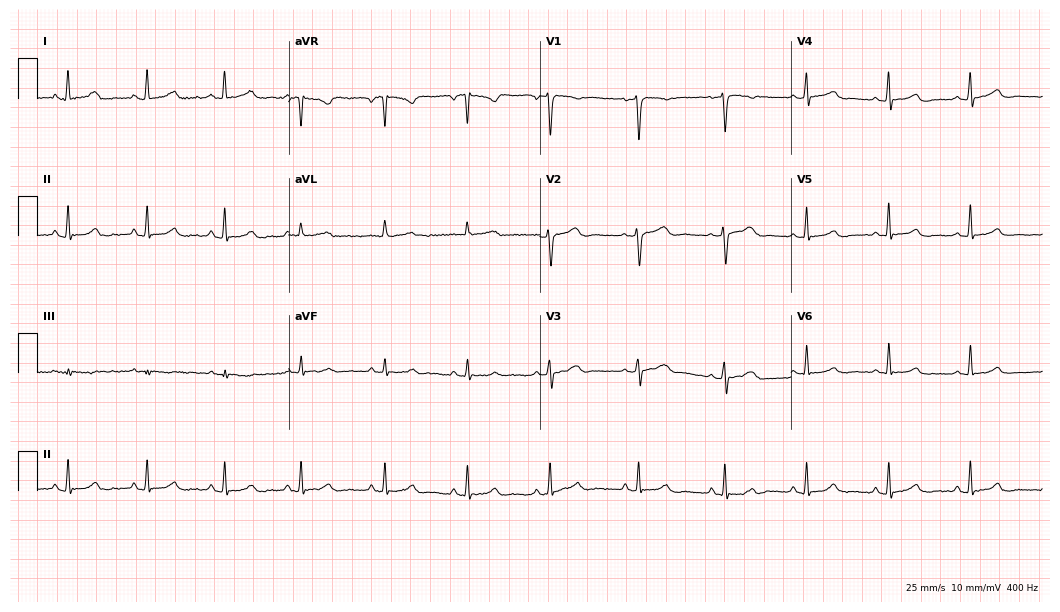
12-lead ECG from a 45-year-old woman. Labelled as a normal ECG.